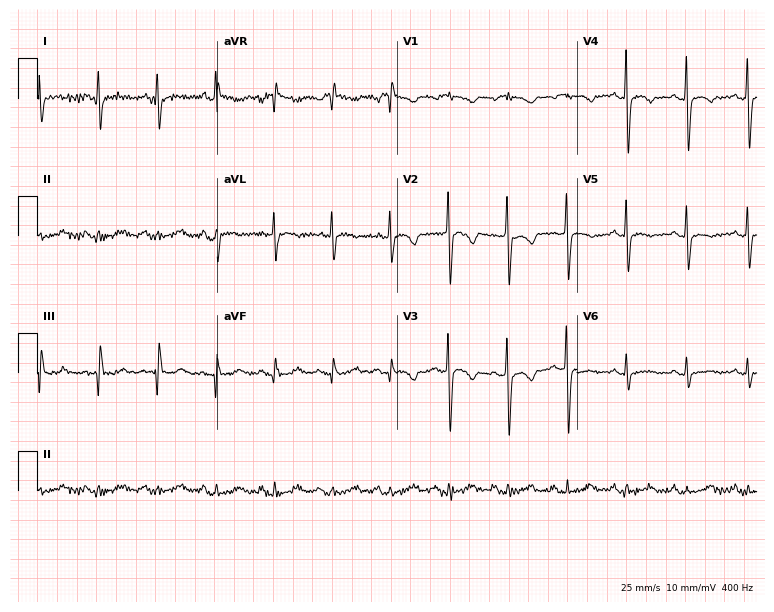
12-lead ECG (7.3-second recording at 400 Hz) from a female, 51 years old. Screened for six findings — first-degree AV block, right bundle branch block, left bundle branch block, sinus bradycardia, atrial fibrillation, sinus tachycardia — none is recorded.